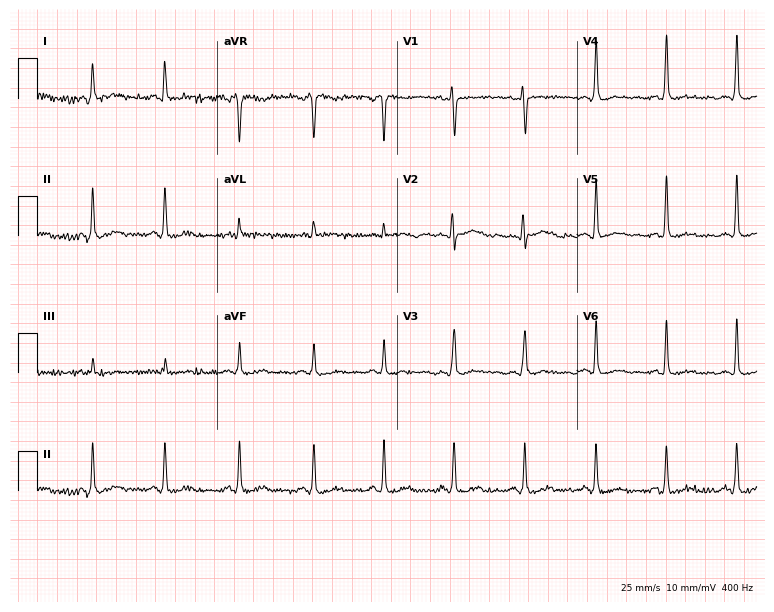
Electrocardiogram (7.3-second recording at 400 Hz), a 45-year-old female. Of the six screened findings (first-degree AV block, right bundle branch block, left bundle branch block, sinus bradycardia, atrial fibrillation, sinus tachycardia), none is recorded. Findings outside these six are not listed.